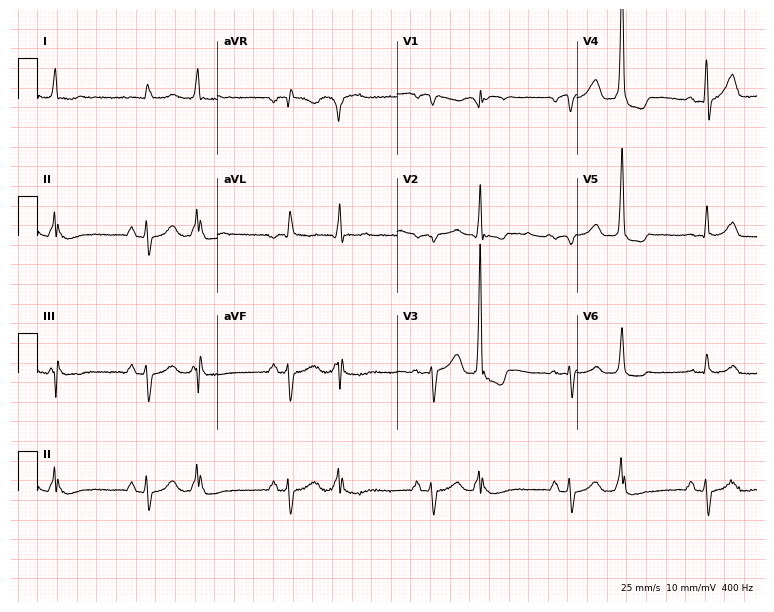
12-lead ECG (7.3-second recording at 400 Hz) from a male, 71 years old. Screened for six findings — first-degree AV block, right bundle branch block, left bundle branch block, sinus bradycardia, atrial fibrillation, sinus tachycardia — none is recorded.